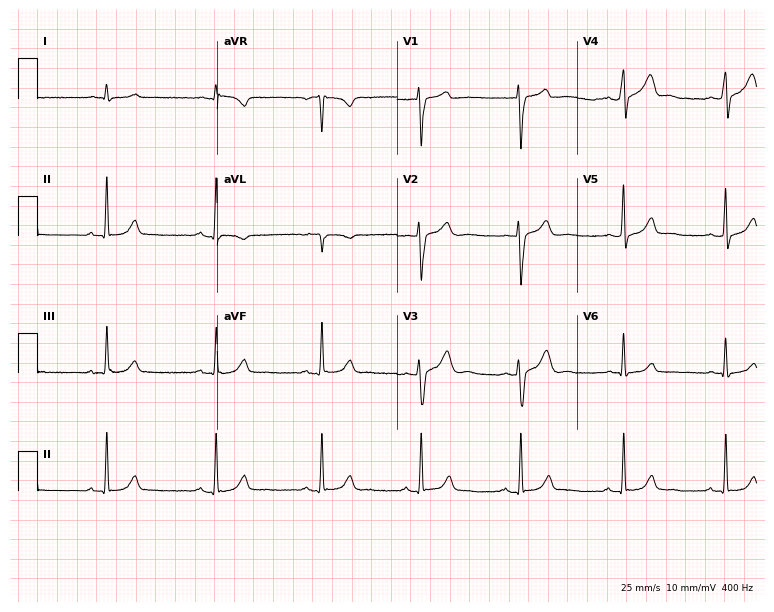
12-lead ECG (7.3-second recording at 400 Hz) from a male patient, 37 years old. Labelled as a normal ECG.